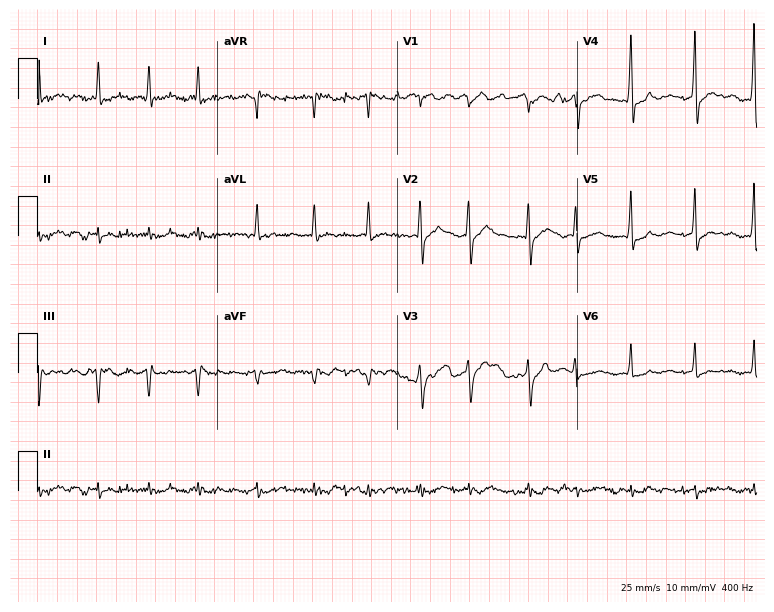
Resting 12-lead electrocardiogram. Patient: a man, 75 years old. The tracing shows atrial fibrillation.